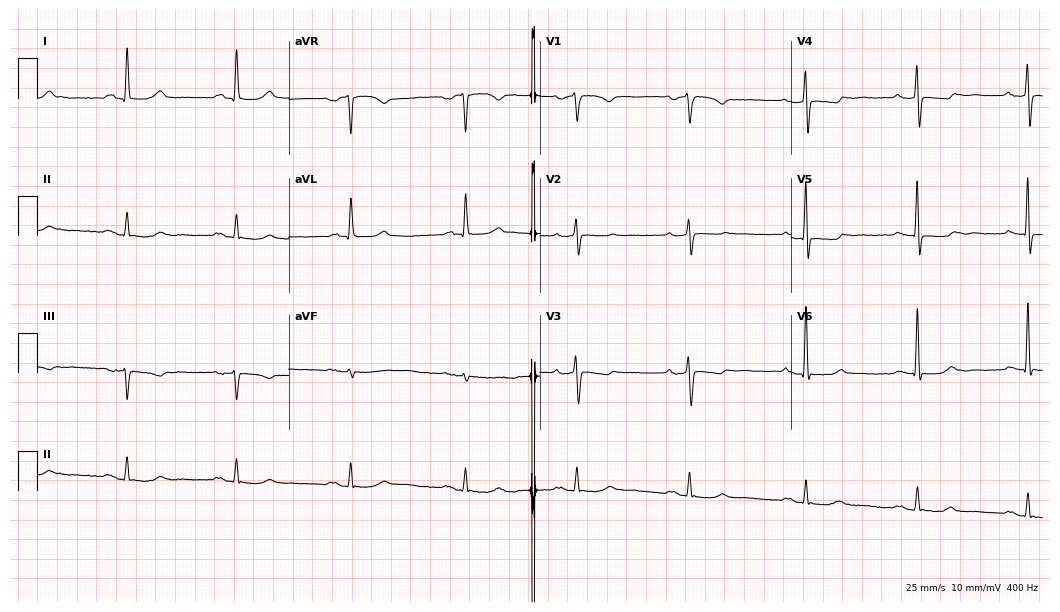
12-lead ECG (10.2-second recording at 400 Hz) from a female, 72 years old. Labelled as a normal ECG.